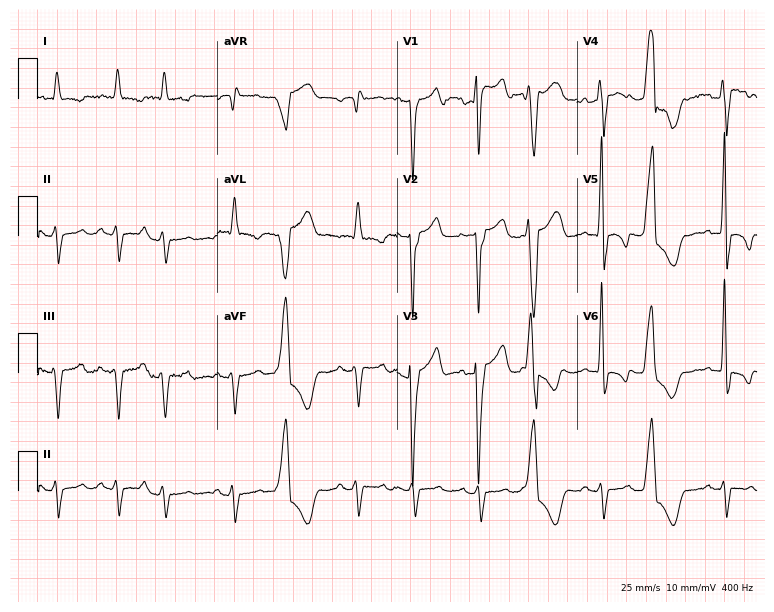
Electrocardiogram, a man, 77 years old. Of the six screened findings (first-degree AV block, right bundle branch block (RBBB), left bundle branch block (LBBB), sinus bradycardia, atrial fibrillation (AF), sinus tachycardia), none is recorded. Findings outside these six are not listed.